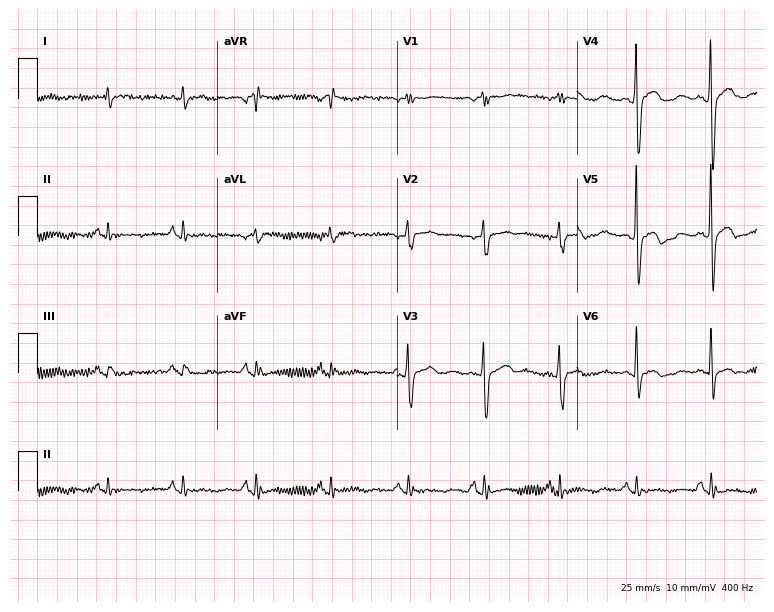
12-lead ECG (7.3-second recording at 400 Hz) from a man, 86 years old. Screened for six findings — first-degree AV block, right bundle branch block (RBBB), left bundle branch block (LBBB), sinus bradycardia, atrial fibrillation (AF), sinus tachycardia — none is recorded.